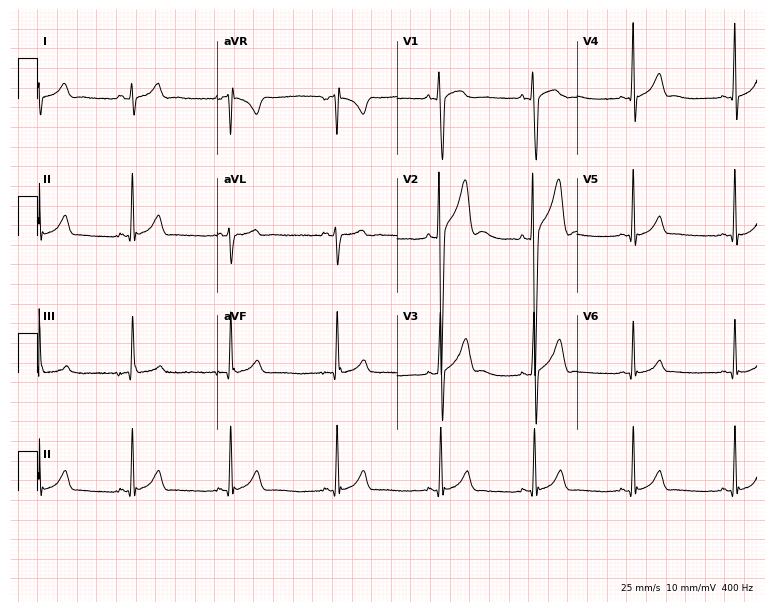
12-lead ECG from a male, 17 years old (7.3-second recording at 400 Hz). No first-degree AV block, right bundle branch block, left bundle branch block, sinus bradycardia, atrial fibrillation or sinus tachycardia recorded for this tracing. Only these six findings were labelled.